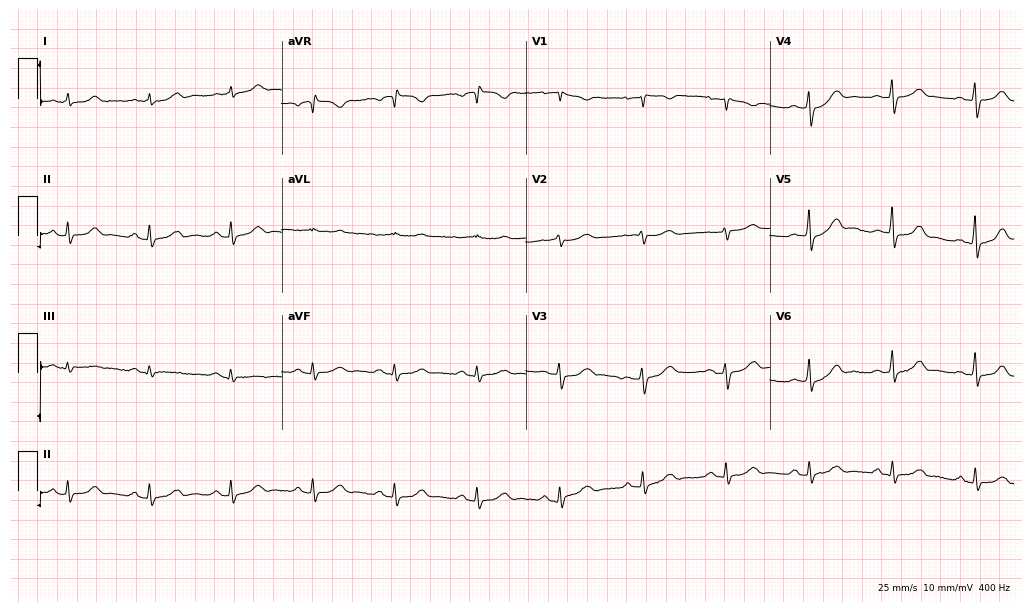
Standard 12-lead ECG recorded from a 59-year-old woman (10-second recording at 400 Hz). Read as a normal ECG.